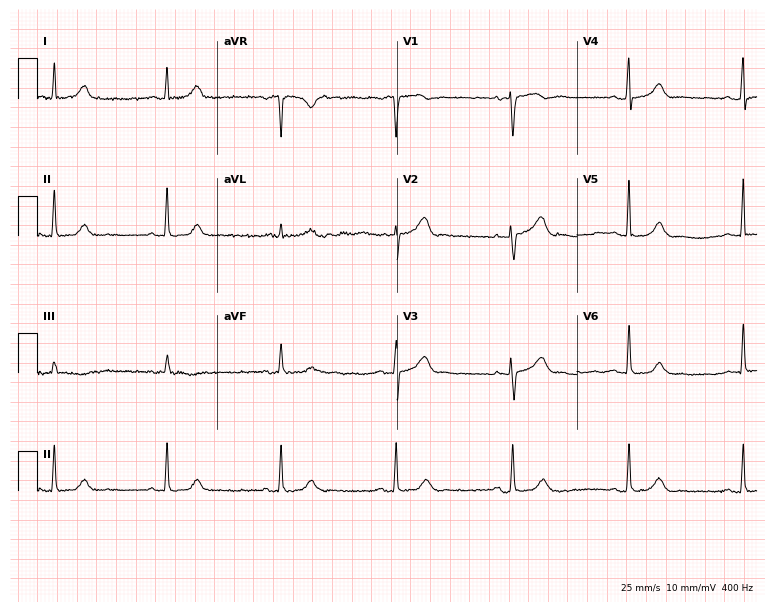
Electrocardiogram (7.3-second recording at 400 Hz), a 69-year-old woman. Overall reading on record: normal ECG.